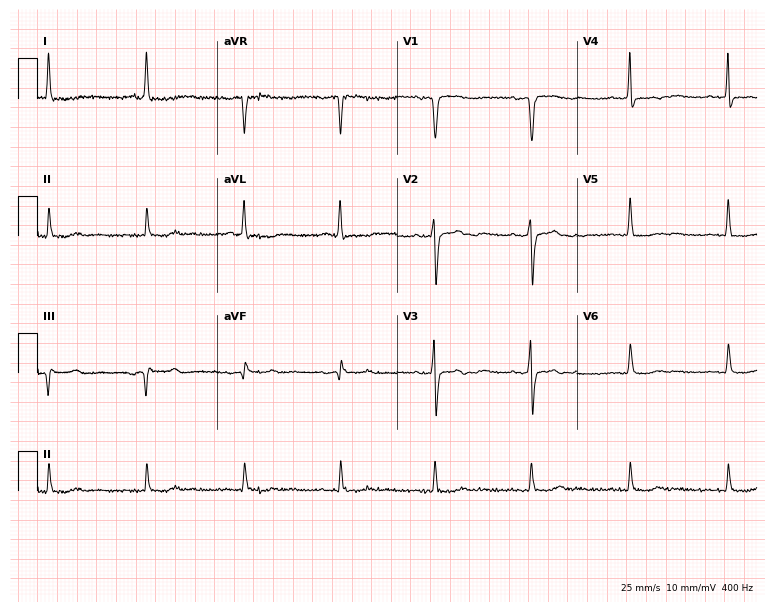
12-lead ECG from a female patient, 72 years old. No first-degree AV block, right bundle branch block (RBBB), left bundle branch block (LBBB), sinus bradycardia, atrial fibrillation (AF) or sinus tachycardia recorded for this tracing. Findings outside these six are not listed.